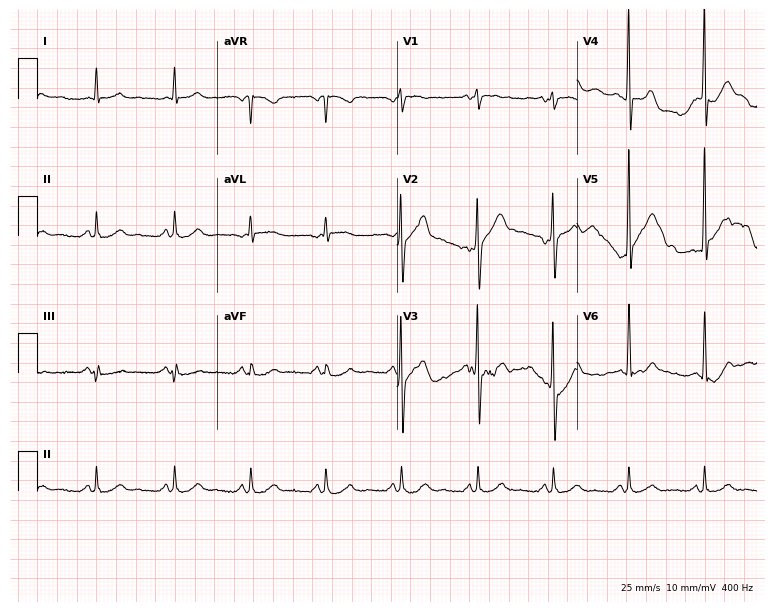
Standard 12-lead ECG recorded from a man, 65 years old (7.3-second recording at 400 Hz). Read as a normal ECG.